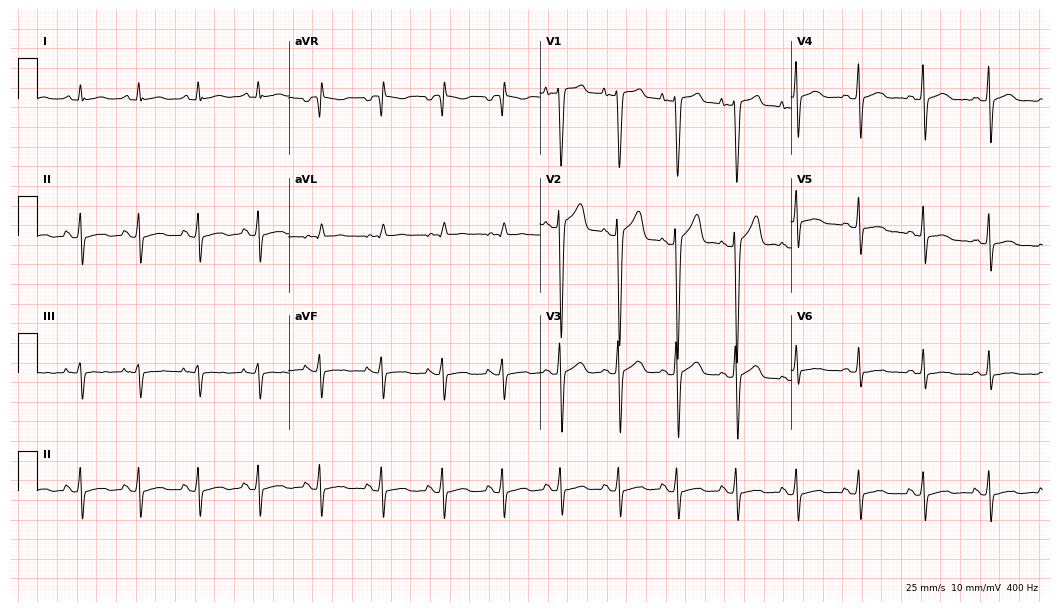
Electrocardiogram (10.2-second recording at 400 Hz), a 19-year-old male. Of the six screened findings (first-degree AV block, right bundle branch block (RBBB), left bundle branch block (LBBB), sinus bradycardia, atrial fibrillation (AF), sinus tachycardia), none is recorded. Only these six findings were labelled.